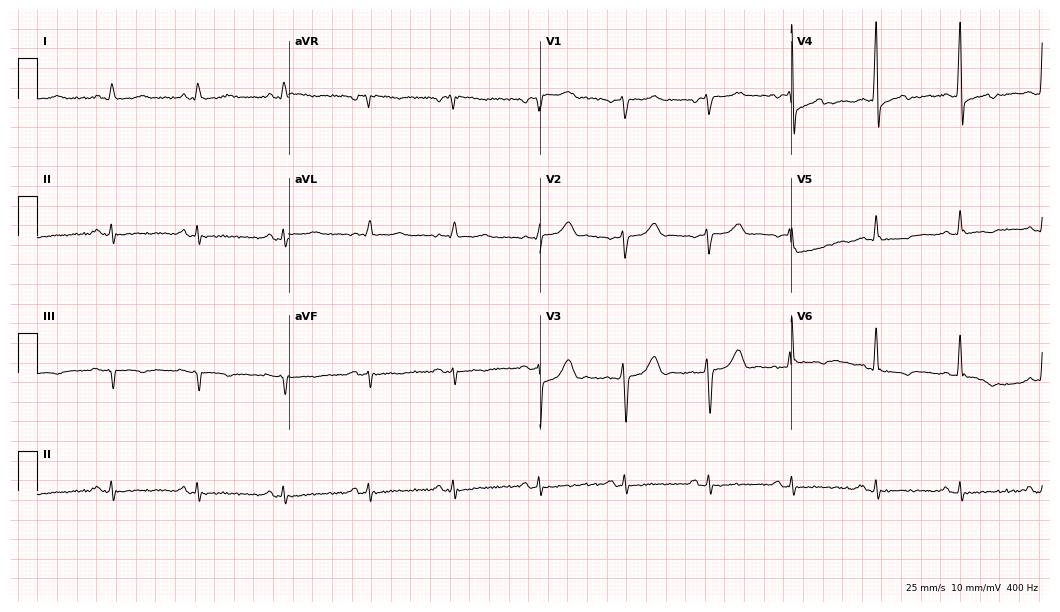
ECG — a woman, 44 years old. Screened for six findings — first-degree AV block, right bundle branch block, left bundle branch block, sinus bradycardia, atrial fibrillation, sinus tachycardia — none is recorded.